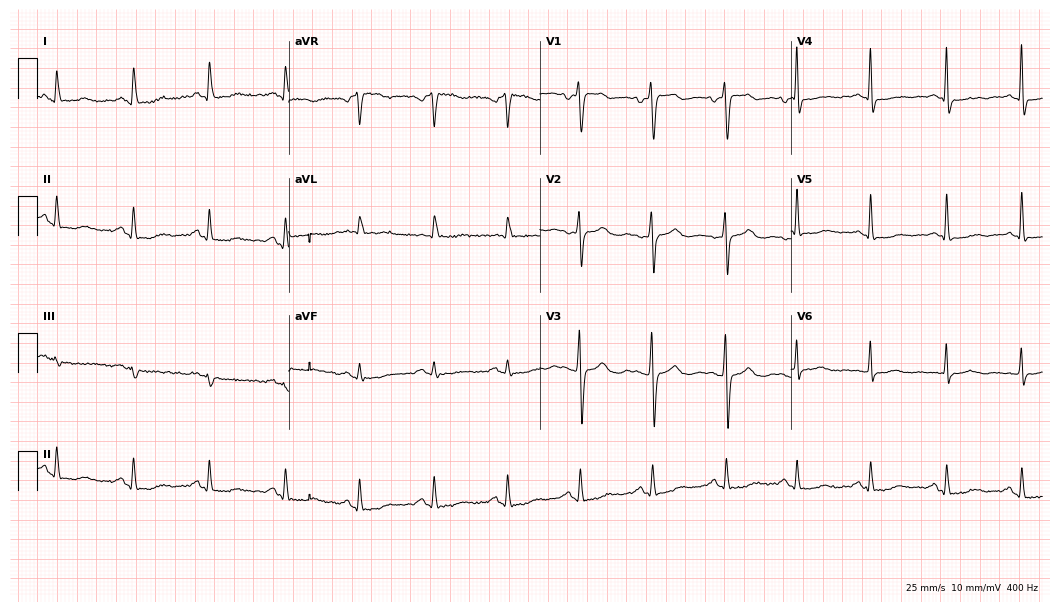
Resting 12-lead electrocardiogram. Patient: a female, 55 years old. None of these six findings is recorded: first-degree AV block, right bundle branch block, left bundle branch block, sinus bradycardia, atrial fibrillation, sinus tachycardia. Other findings, if any, are not listed.